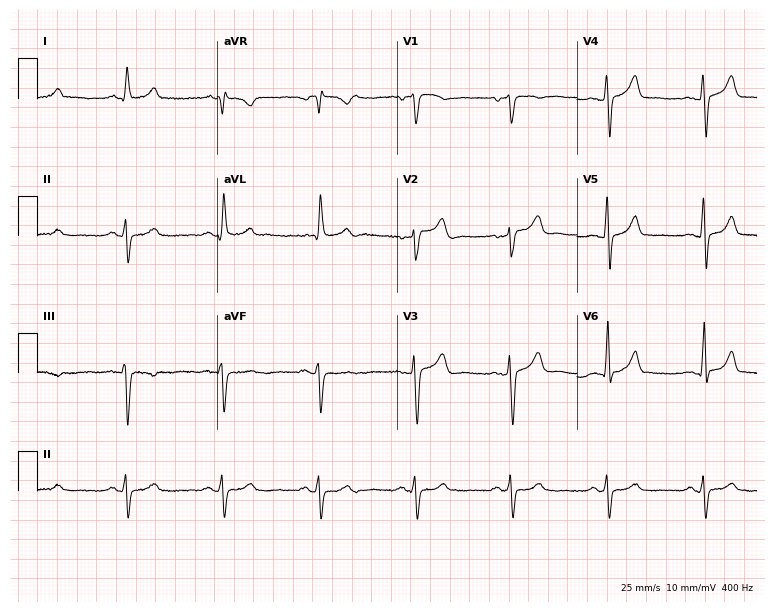
ECG (7.3-second recording at 400 Hz) — a male, 66 years old. Screened for six findings — first-degree AV block, right bundle branch block, left bundle branch block, sinus bradycardia, atrial fibrillation, sinus tachycardia — none is recorded.